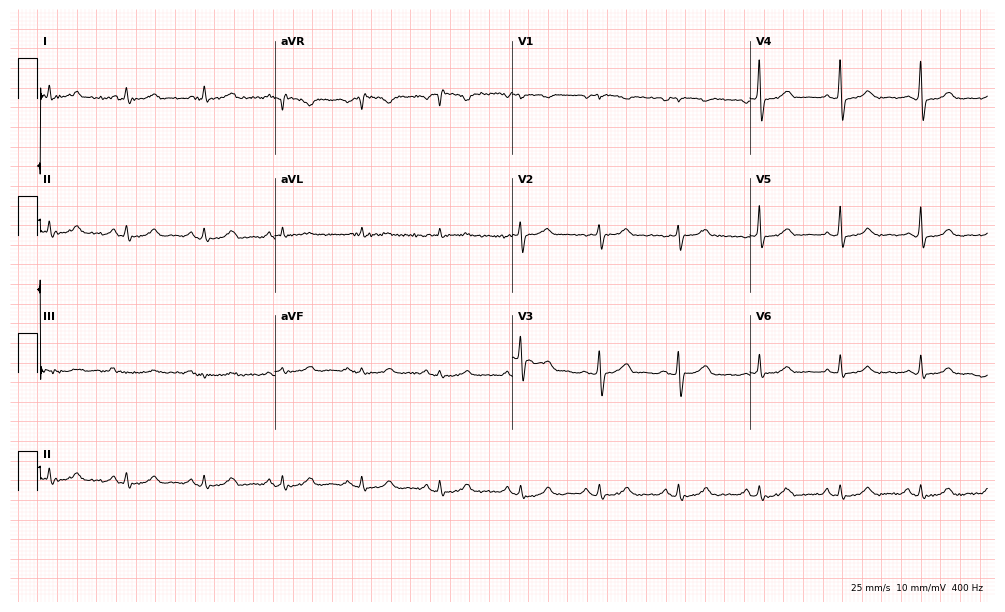
12-lead ECG (9.7-second recording at 400 Hz) from a 62-year-old female patient. Labelled as a normal ECG.